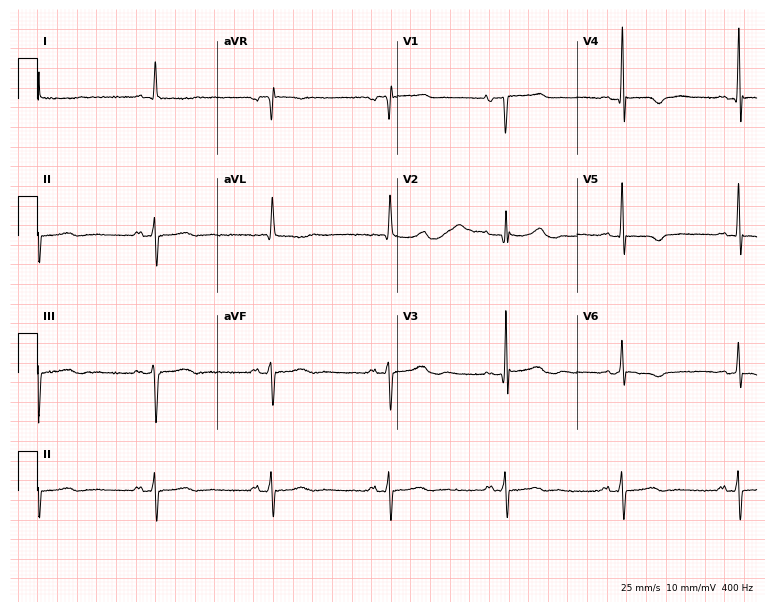
ECG (7.3-second recording at 400 Hz) — an 85-year-old female patient. Screened for six findings — first-degree AV block, right bundle branch block, left bundle branch block, sinus bradycardia, atrial fibrillation, sinus tachycardia — none is recorded.